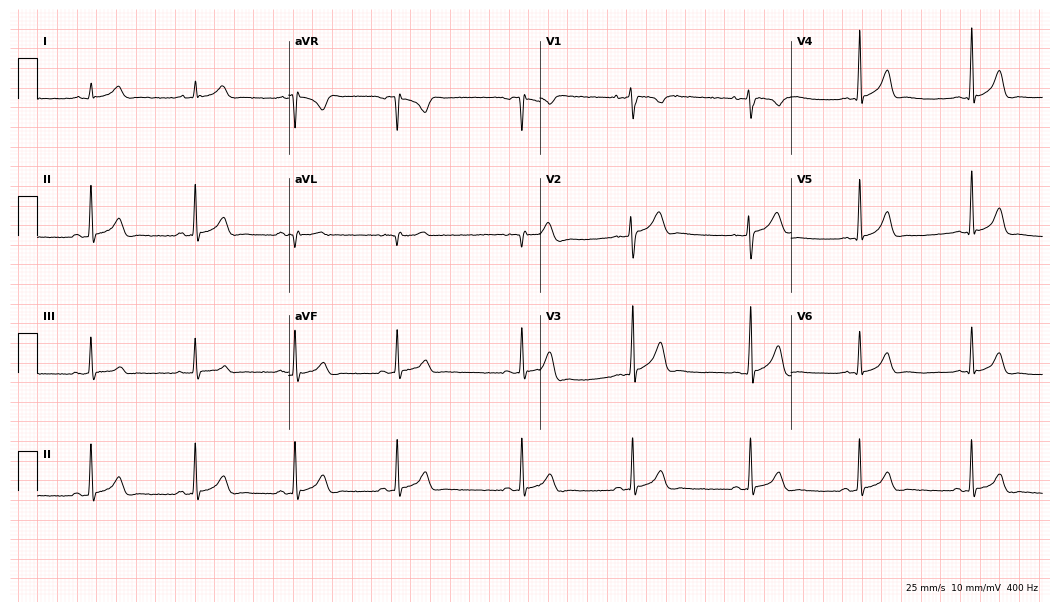
Standard 12-lead ECG recorded from a male patient, 25 years old. None of these six findings is recorded: first-degree AV block, right bundle branch block (RBBB), left bundle branch block (LBBB), sinus bradycardia, atrial fibrillation (AF), sinus tachycardia.